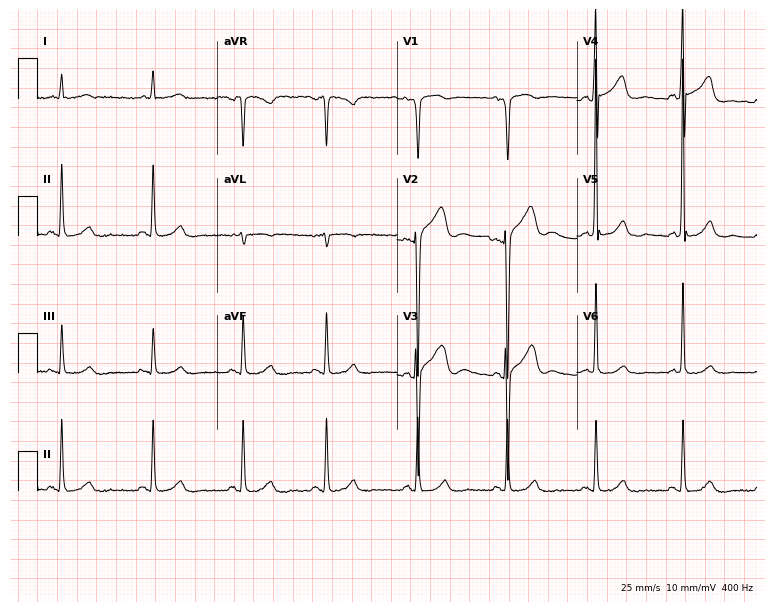
12-lead ECG (7.3-second recording at 400 Hz) from a man, 83 years old. Screened for six findings — first-degree AV block, right bundle branch block, left bundle branch block, sinus bradycardia, atrial fibrillation, sinus tachycardia — none is recorded. Only these six findings were labelled.